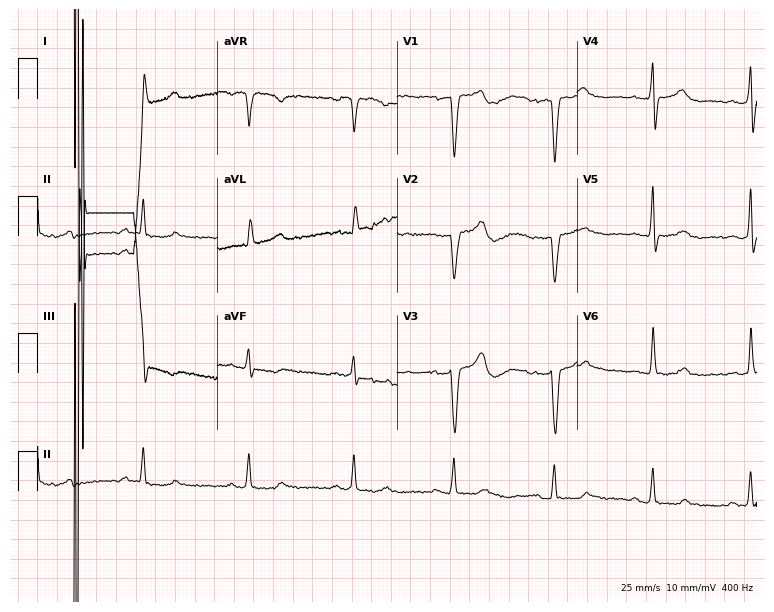
12-lead ECG (7.3-second recording at 400 Hz) from a 61-year-old male patient. Screened for six findings — first-degree AV block, right bundle branch block, left bundle branch block, sinus bradycardia, atrial fibrillation, sinus tachycardia — none is recorded.